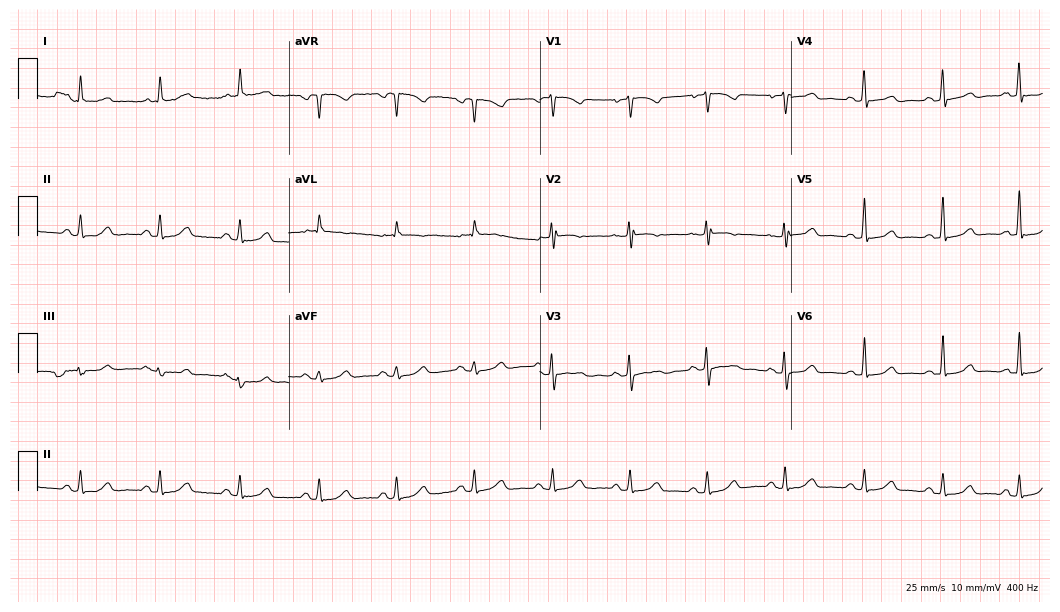
Resting 12-lead electrocardiogram (10.2-second recording at 400 Hz). Patient: a 62-year-old female. None of these six findings is recorded: first-degree AV block, right bundle branch block (RBBB), left bundle branch block (LBBB), sinus bradycardia, atrial fibrillation (AF), sinus tachycardia. Findings outside these six are not listed.